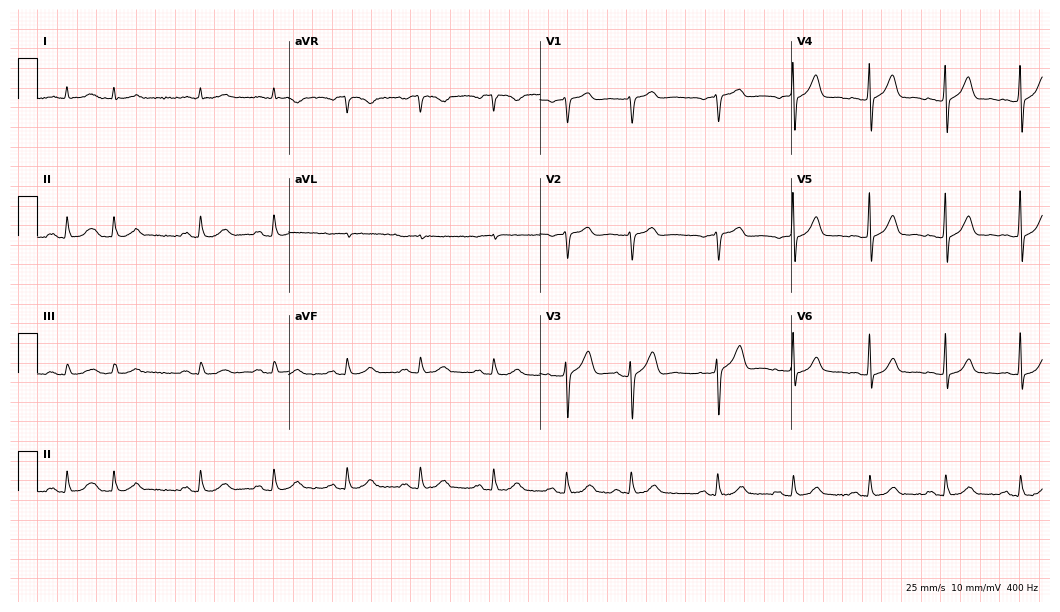
Electrocardiogram, a man, 79 years old. Of the six screened findings (first-degree AV block, right bundle branch block (RBBB), left bundle branch block (LBBB), sinus bradycardia, atrial fibrillation (AF), sinus tachycardia), none is recorded.